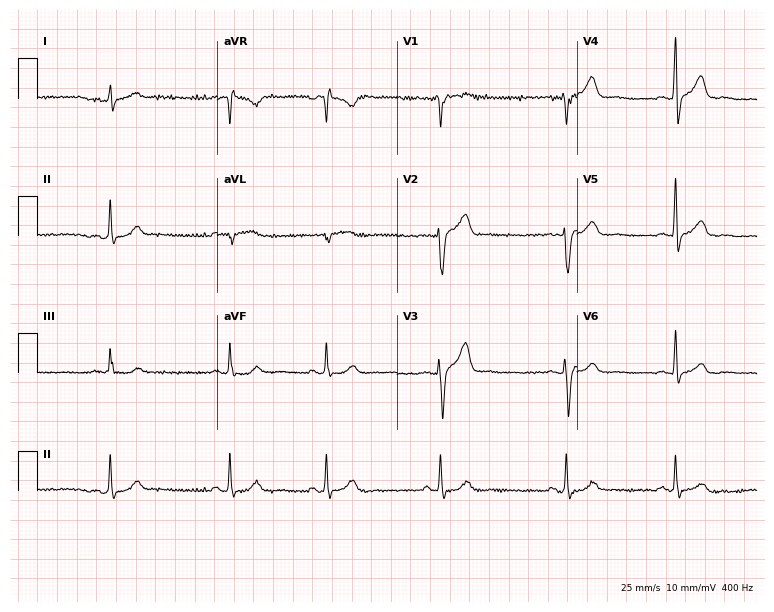
Resting 12-lead electrocardiogram. Patient: a 42-year-old man. None of these six findings is recorded: first-degree AV block, right bundle branch block, left bundle branch block, sinus bradycardia, atrial fibrillation, sinus tachycardia.